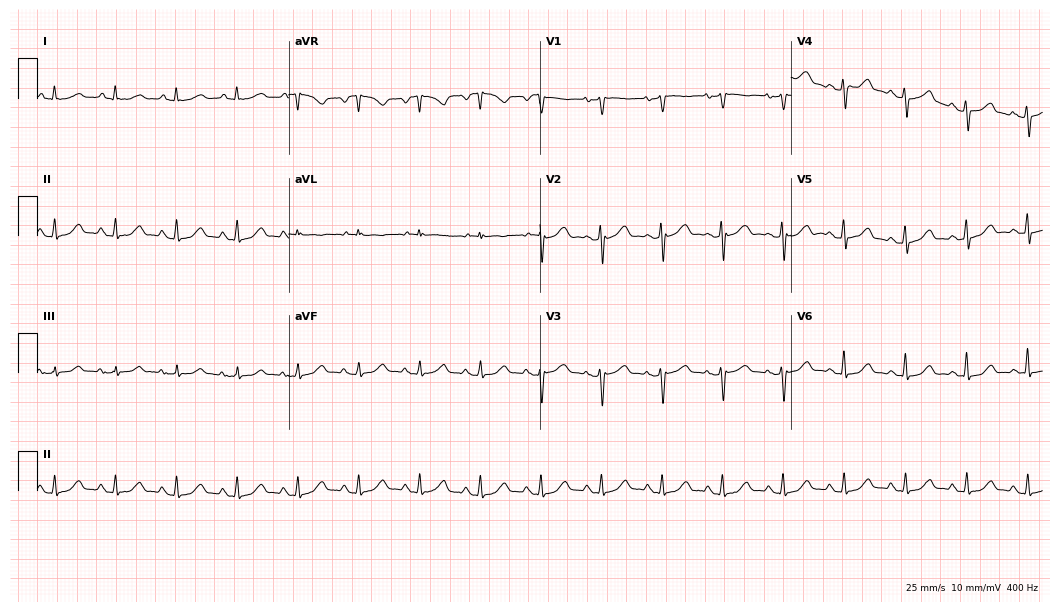
Standard 12-lead ECG recorded from a female patient, 79 years old (10.2-second recording at 400 Hz). Read as a normal ECG.